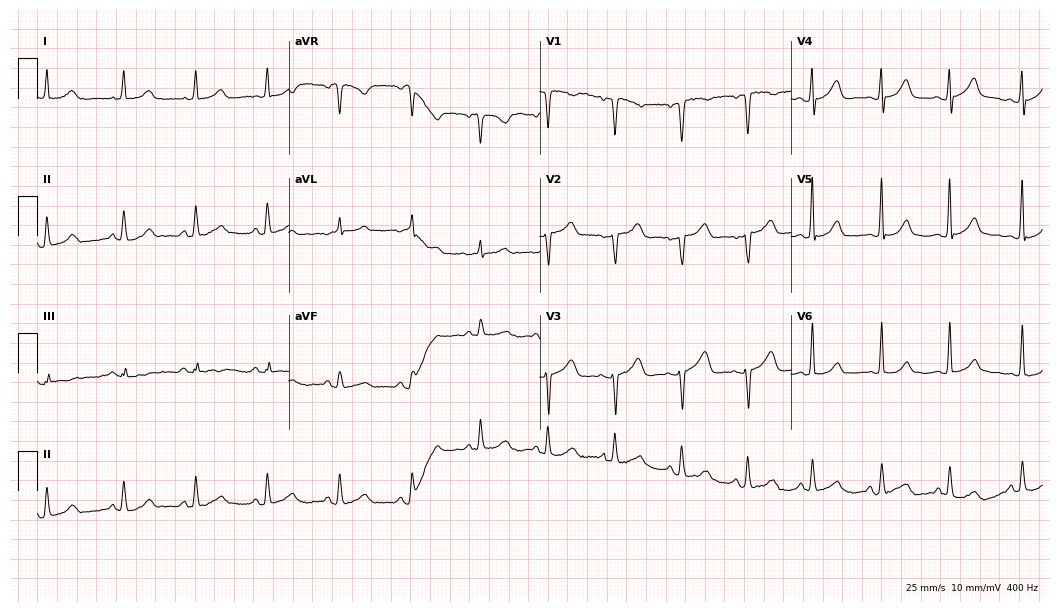
Standard 12-lead ECG recorded from a female patient, 66 years old (10.2-second recording at 400 Hz). None of these six findings is recorded: first-degree AV block, right bundle branch block, left bundle branch block, sinus bradycardia, atrial fibrillation, sinus tachycardia.